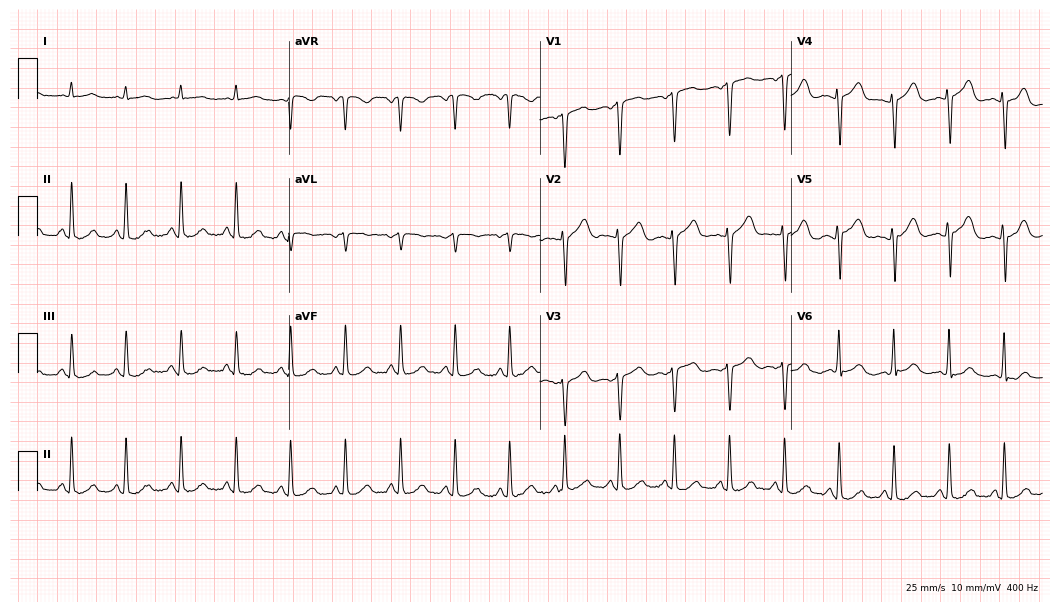
12-lead ECG from a male patient, 53 years old. Shows sinus tachycardia (a sinus rate of 100 beats per minute or more).